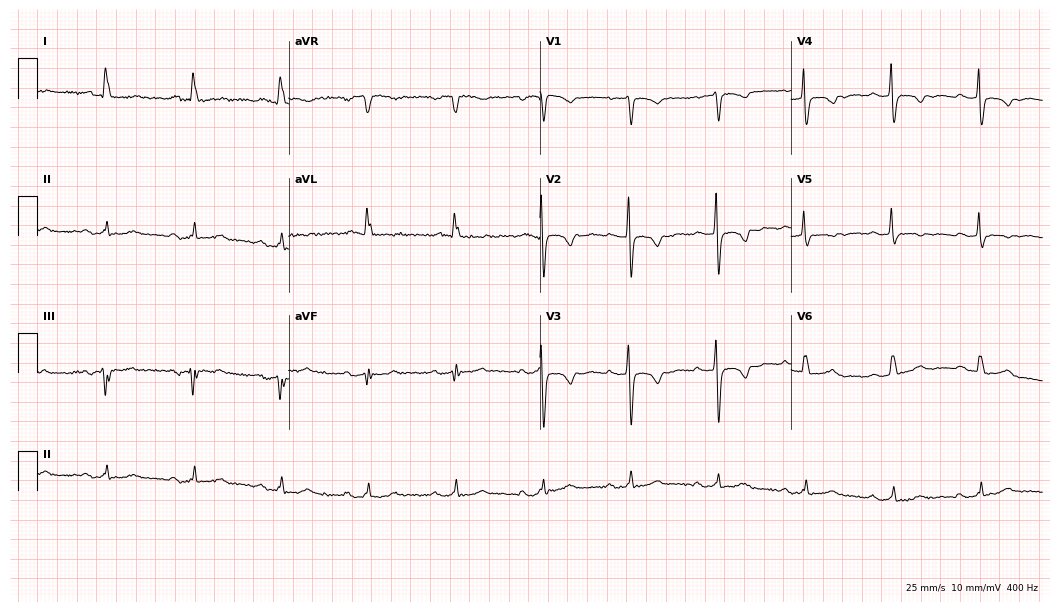
12-lead ECG from a woman, 82 years old. Screened for six findings — first-degree AV block, right bundle branch block (RBBB), left bundle branch block (LBBB), sinus bradycardia, atrial fibrillation (AF), sinus tachycardia — none is recorded.